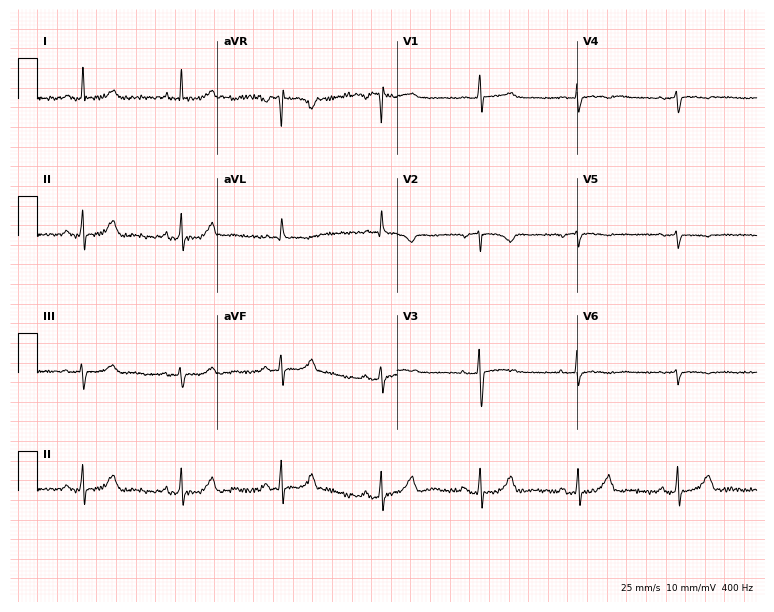
12-lead ECG from a female patient, 64 years old. Screened for six findings — first-degree AV block, right bundle branch block (RBBB), left bundle branch block (LBBB), sinus bradycardia, atrial fibrillation (AF), sinus tachycardia — none is recorded. Other findings, if any, are not listed.